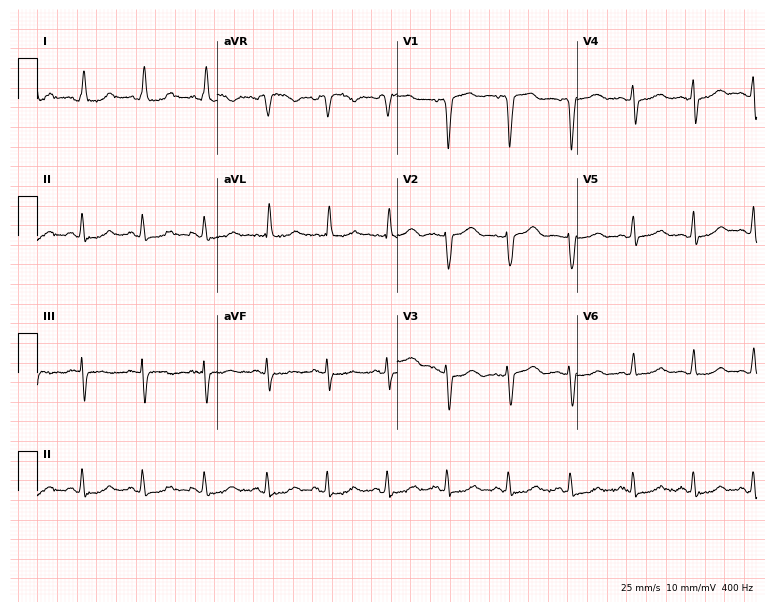
ECG (7.3-second recording at 400 Hz) — a 60-year-old female. Labelled as a normal ECG.